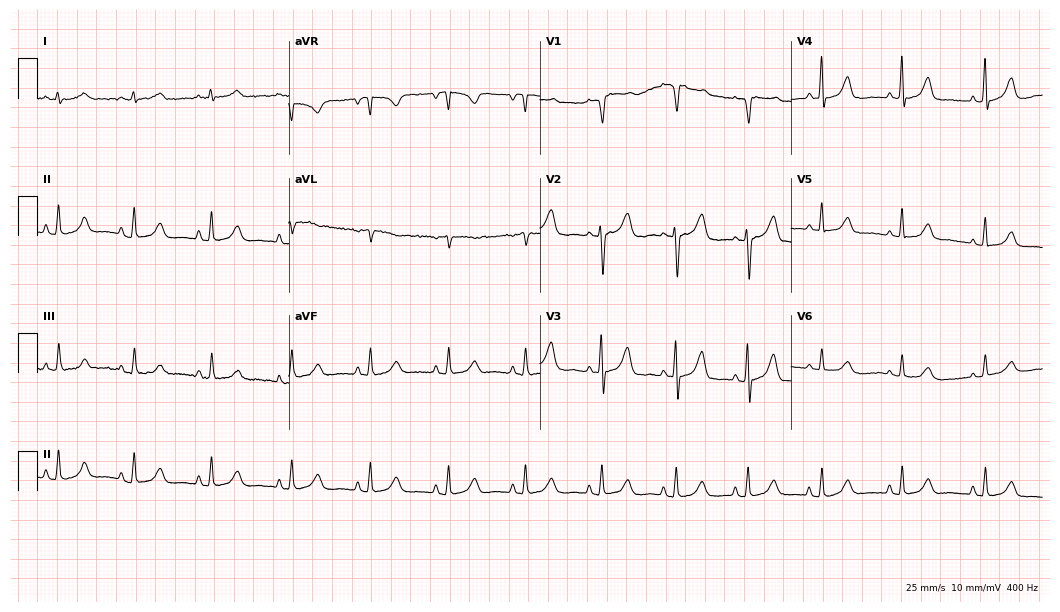
ECG (10.2-second recording at 400 Hz) — a 64-year-old female patient. Screened for six findings — first-degree AV block, right bundle branch block (RBBB), left bundle branch block (LBBB), sinus bradycardia, atrial fibrillation (AF), sinus tachycardia — none is recorded.